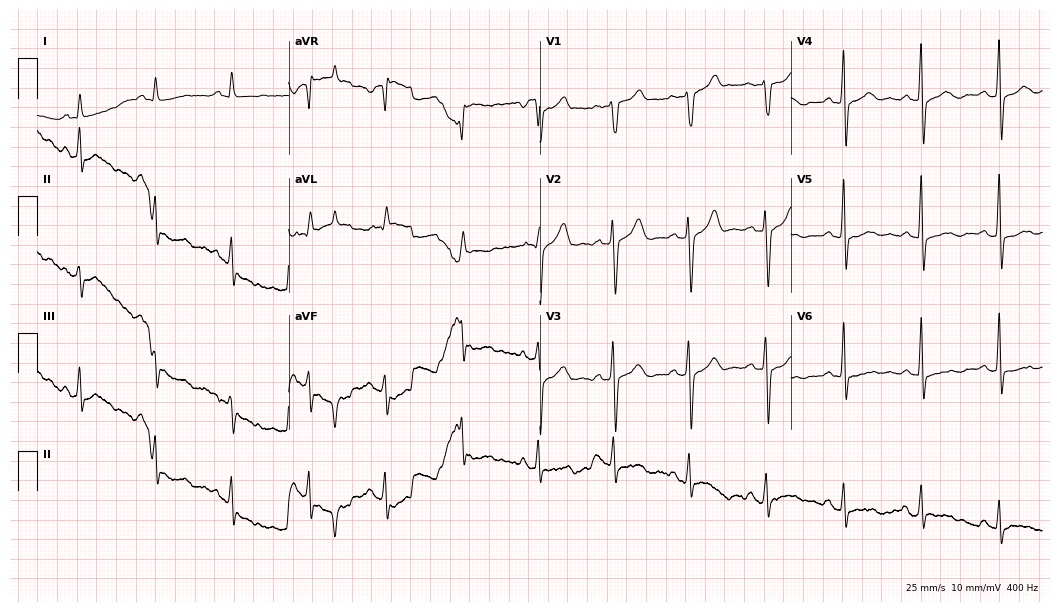
Electrocardiogram, a male, 58 years old. Of the six screened findings (first-degree AV block, right bundle branch block, left bundle branch block, sinus bradycardia, atrial fibrillation, sinus tachycardia), none is recorded. Only these six findings were labelled.